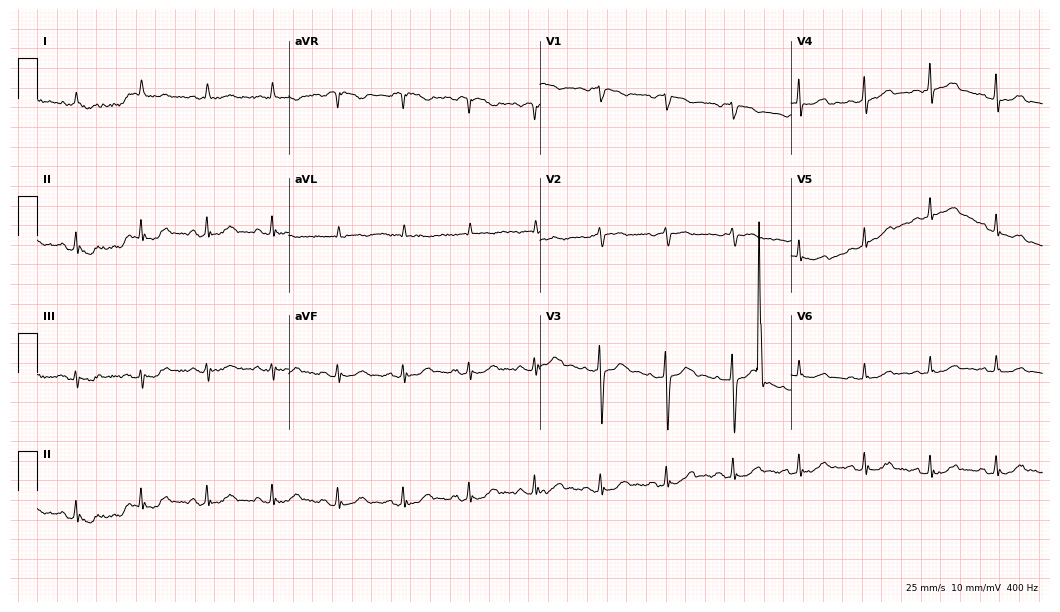
Electrocardiogram (10.2-second recording at 400 Hz), a 79-year-old woman. Of the six screened findings (first-degree AV block, right bundle branch block (RBBB), left bundle branch block (LBBB), sinus bradycardia, atrial fibrillation (AF), sinus tachycardia), none is recorded. Other findings, if any, are not listed.